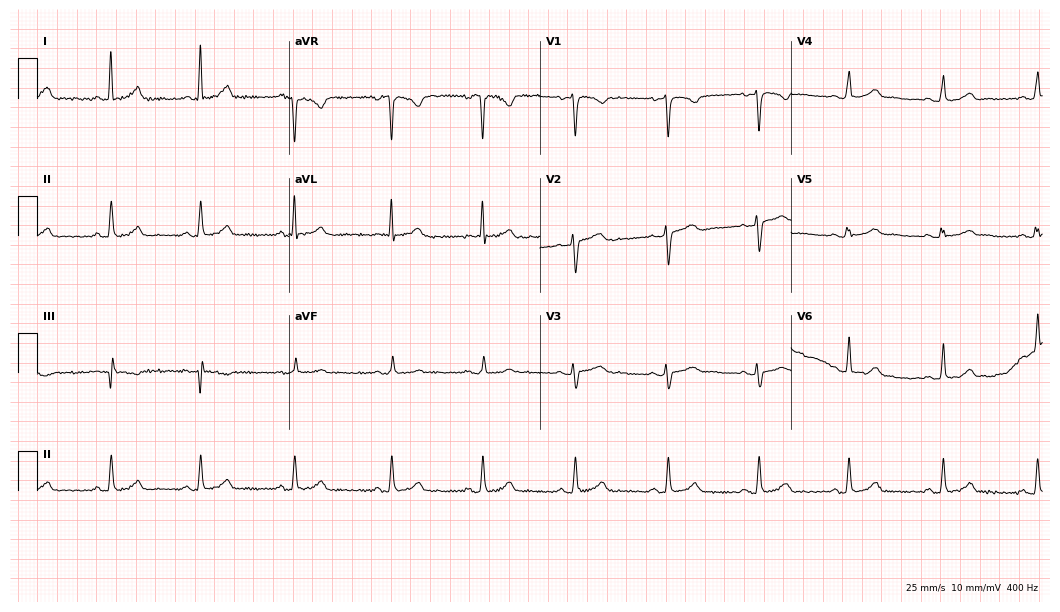
Resting 12-lead electrocardiogram. Patient: a 35-year-old female. Read as a normal ECG.